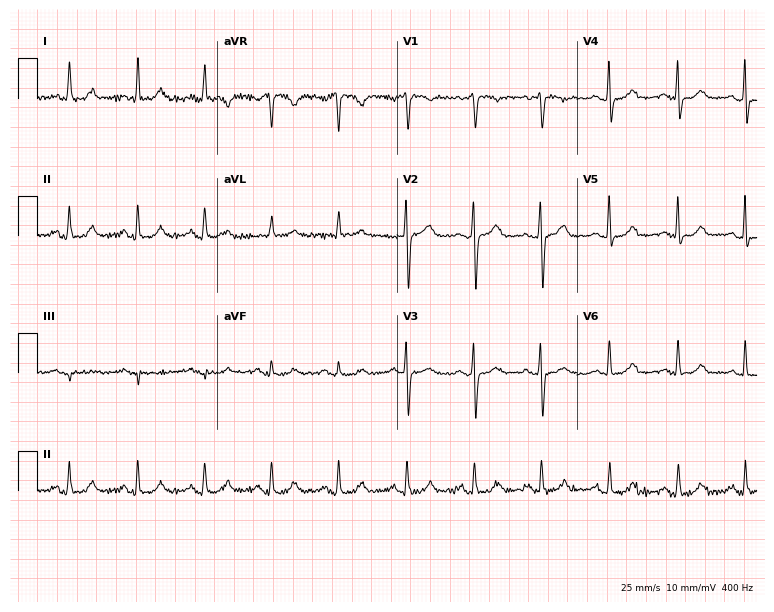
ECG (7.3-second recording at 400 Hz) — a 67-year-old woman. Labelled as a normal ECG.